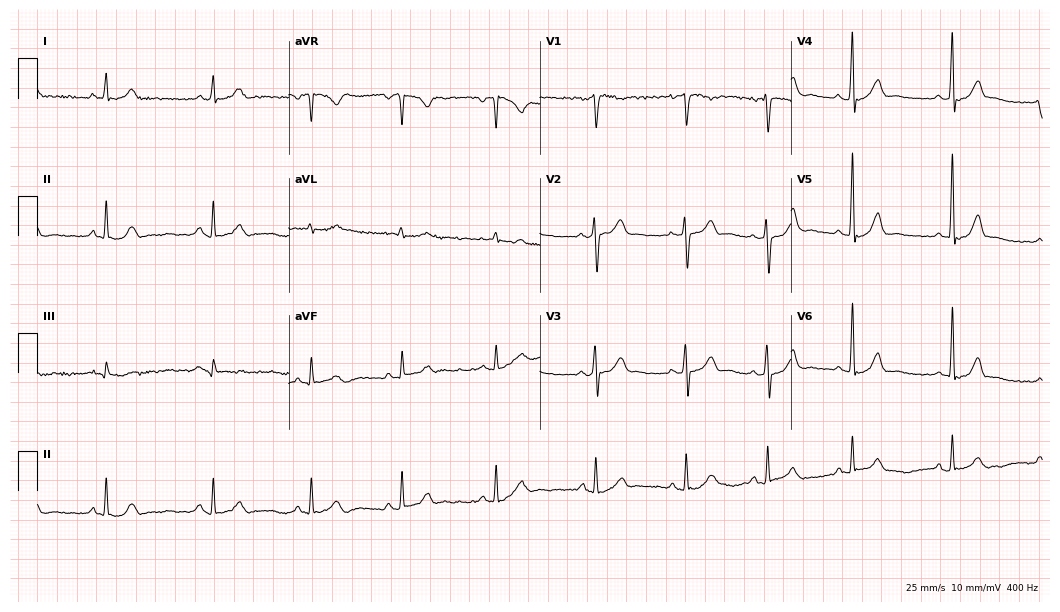
Electrocardiogram, a 42-year-old male patient. Of the six screened findings (first-degree AV block, right bundle branch block, left bundle branch block, sinus bradycardia, atrial fibrillation, sinus tachycardia), none is recorded.